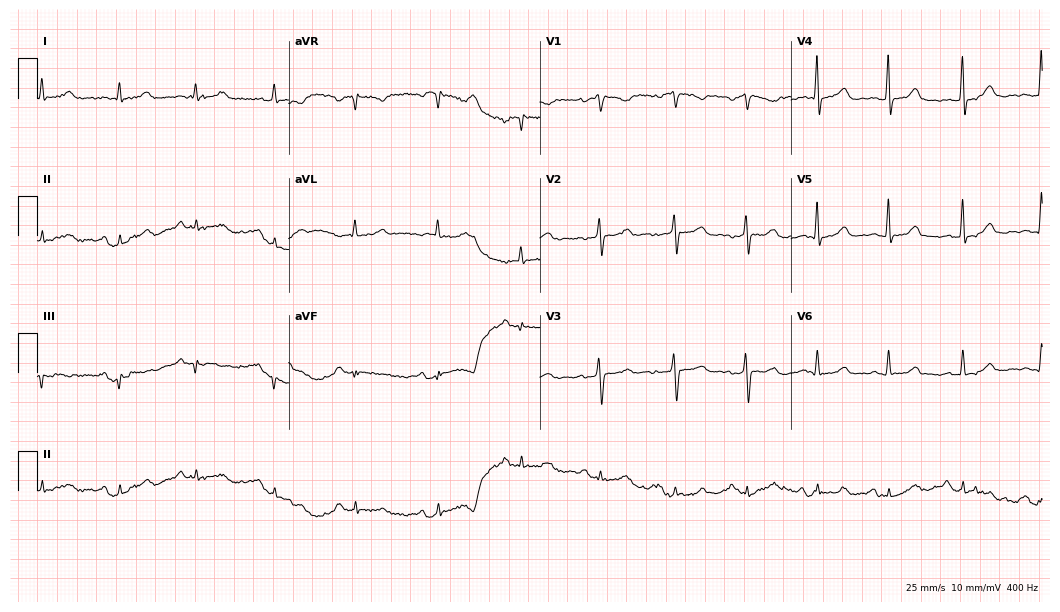
Resting 12-lead electrocardiogram (10.2-second recording at 400 Hz). Patient: a 50-year-old female. None of these six findings is recorded: first-degree AV block, right bundle branch block, left bundle branch block, sinus bradycardia, atrial fibrillation, sinus tachycardia. Findings outside these six are not listed.